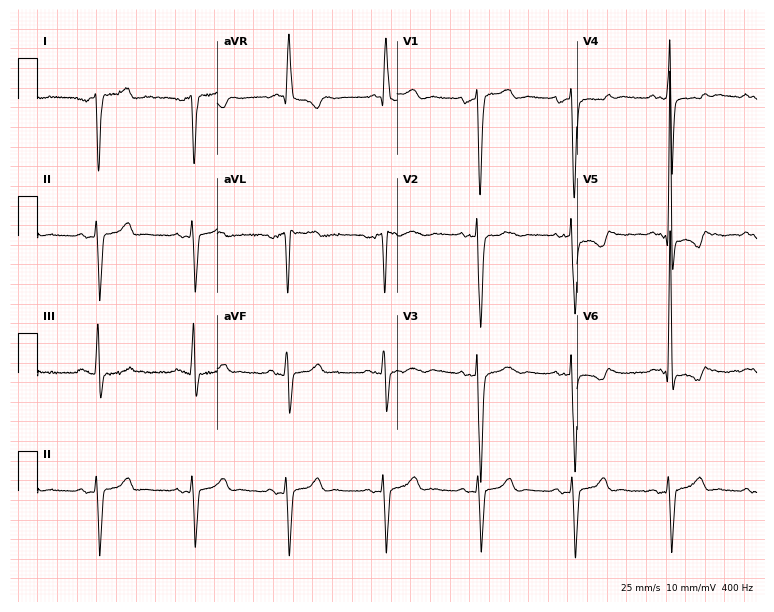
Resting 12-lead electrocardiogram. Patient: a man, 69 years old. None of these six findings is recorded: first-degree AV block, right bundle branch block, left bundle branch block, sinus bradycardia, atrial fibrillation, sinus tachycardia.